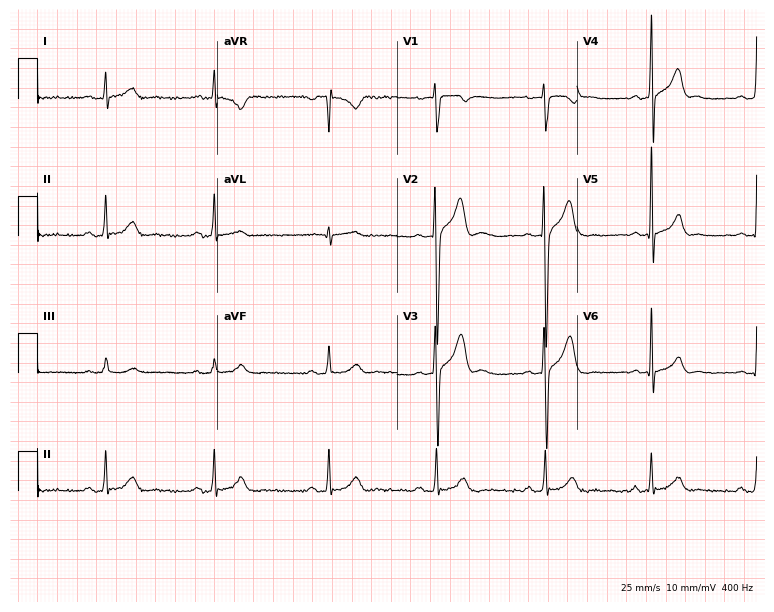
ECG (7.3-second recording at 400 Hz) — a male patient, 28 years old. Labelled as a normal ECG.